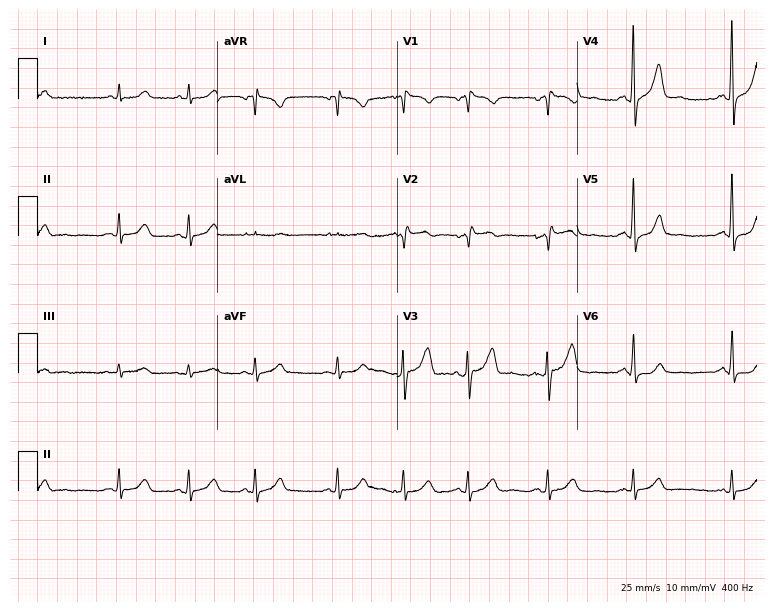
Electrocardiogram, a female, 60 years old. Overall reading on record: normal ECG.